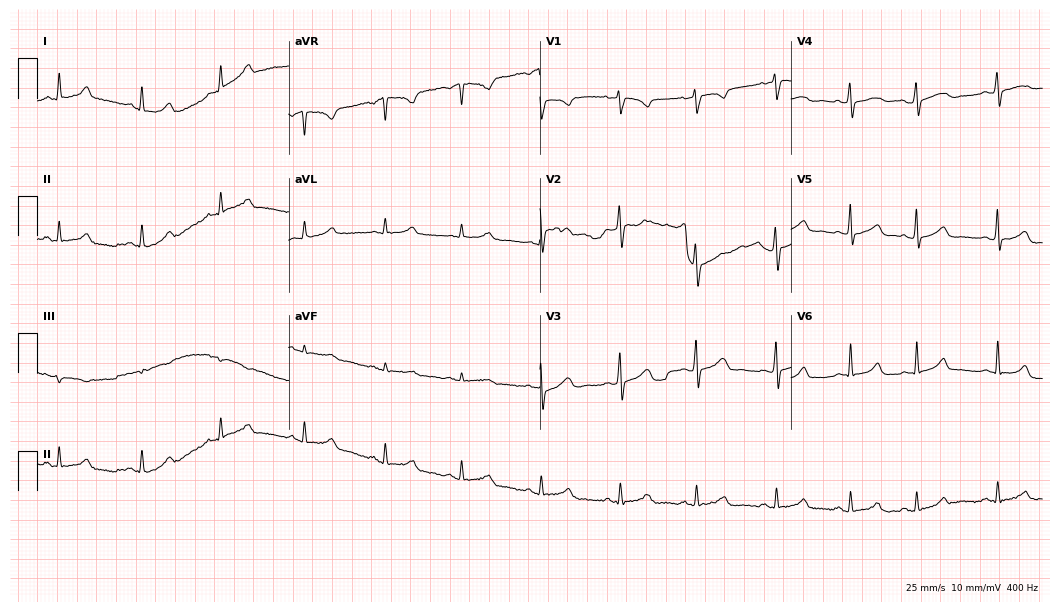
12-lead ECG from a female, 28 years old. Recorded interpretation: within normal limits.